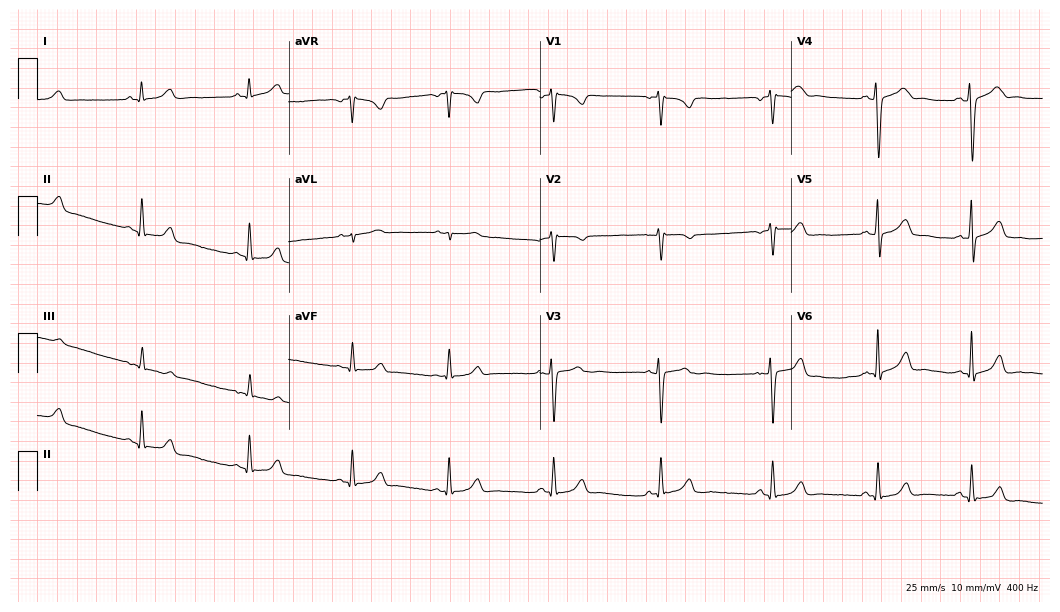
12-lead ECG from a female patient, 30 years old. Labelled as a normal ECG.